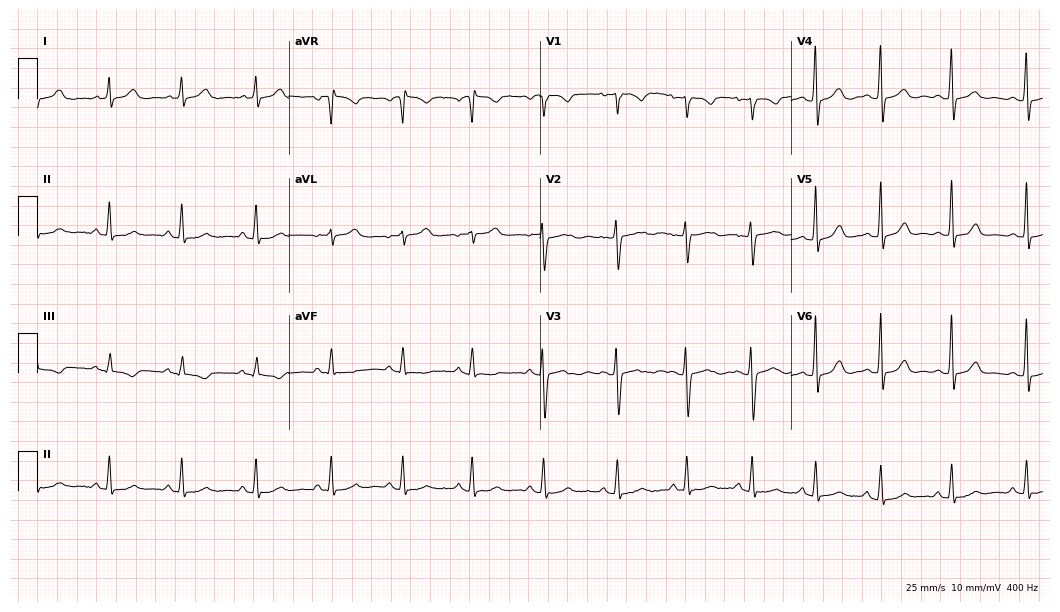
ECG — a female patient, 26 years old. Labelled as a normal ECG.